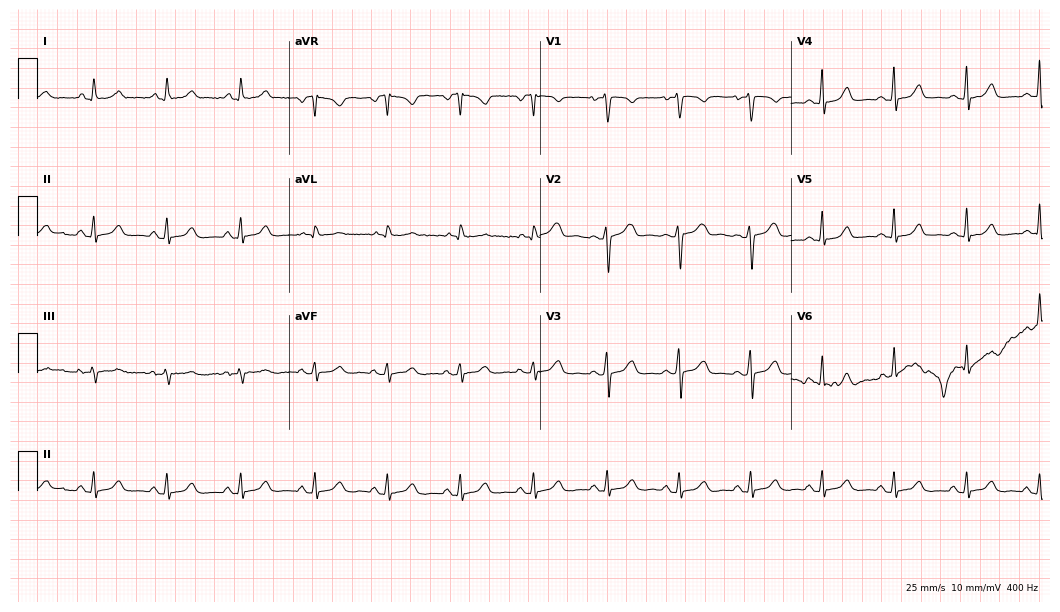
Standard 12-lead ECG recorded from a 42-year-old female patient (10.2-second recording at 400 Hz). Read as a normal ECG.